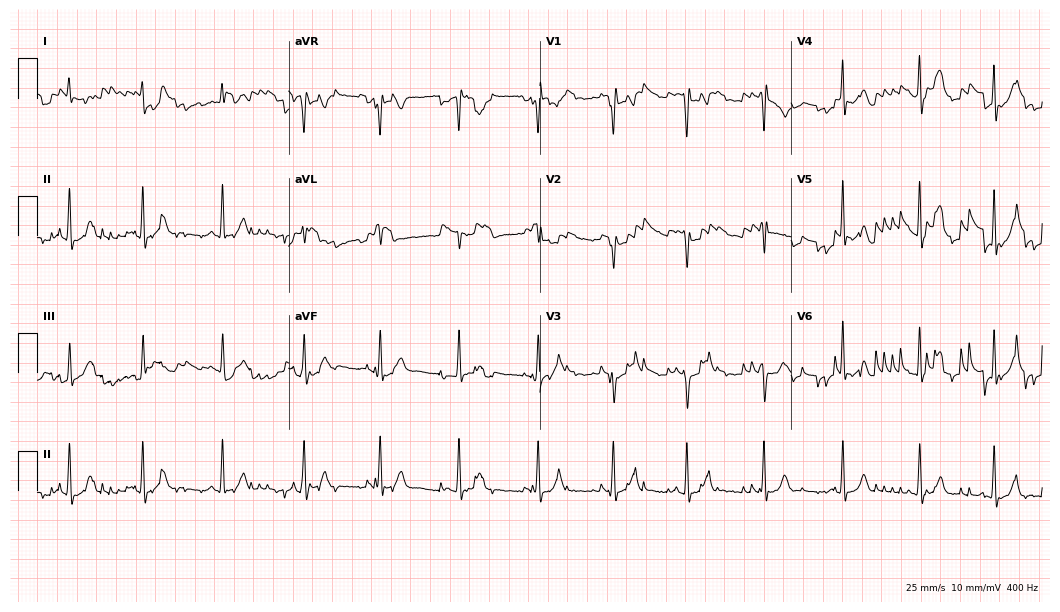
Resting 12-lead electrocardiogram. Patient: a female, 18 years old. None of these six findings is recorded: first-degree AV block, right bundle branch block, left bundle branch block, sinus bradycardia, atrial fibrillation, sinus tachycardia.